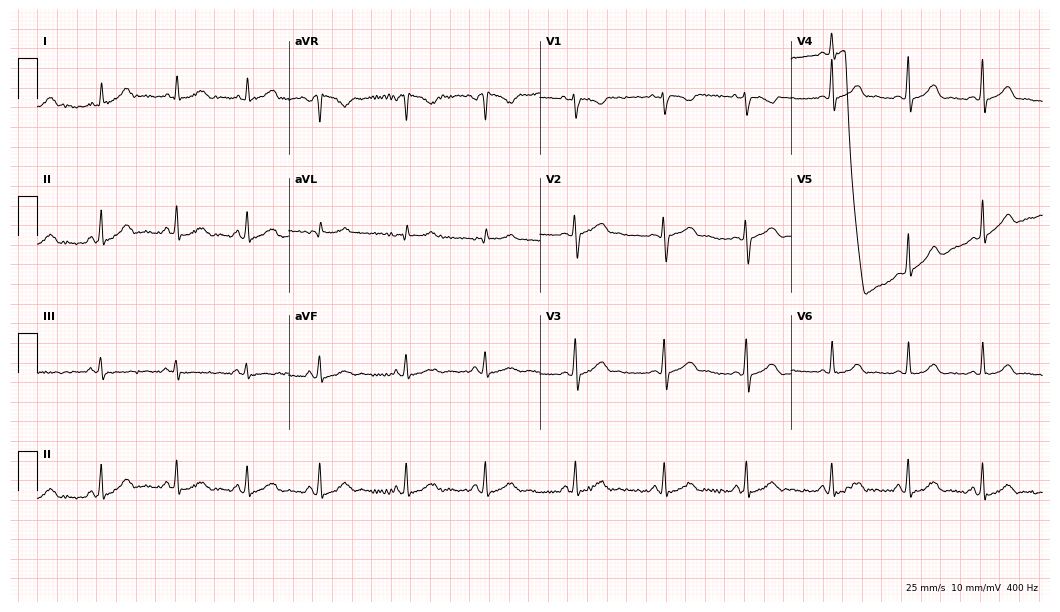
12-lead ECG from a 27-year-old woman (10.2-second recording at 400 Hz). No first-degree AV block, right bundle branch block (RBBB), left bundle branch block (LBBB), sinus bradycardia, atrial fibrillation (AF) or sinus tachycardia recorded for this tracing. Only these six findings were labelled.